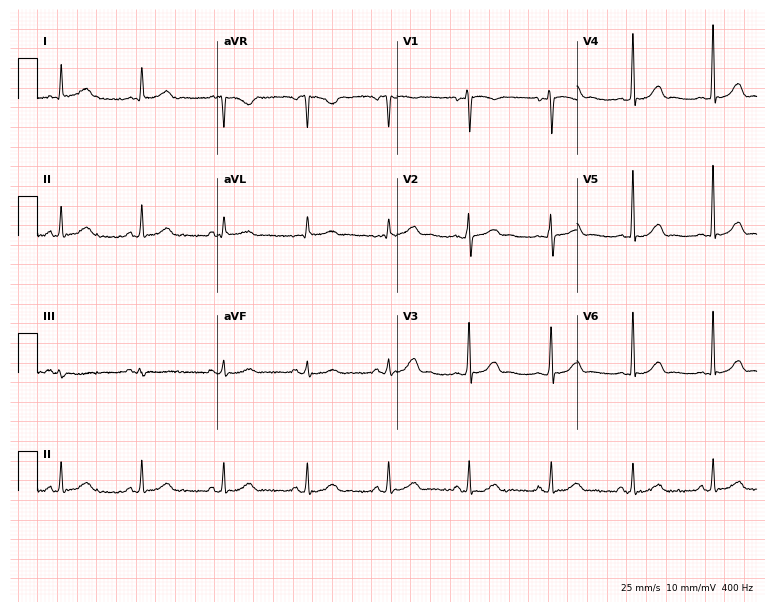
Electrocardiogram (7.3-second recording at 400 Hz), a female, 59 years old. Overall reading on record: normal ECG.